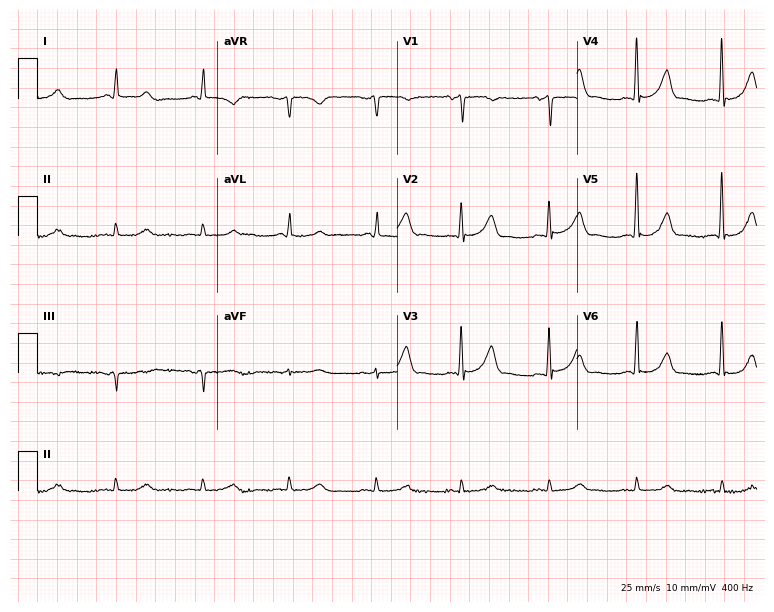
Standard 12-lead ECG recorded from a male, 70 years old. None of these six findings is recorded: first-degree AV block, right bundle branch block (RBBB), left bundle branch block (LBBB), sinus bradycardia, atrial fibrillation (AF), sinus tachycardia.